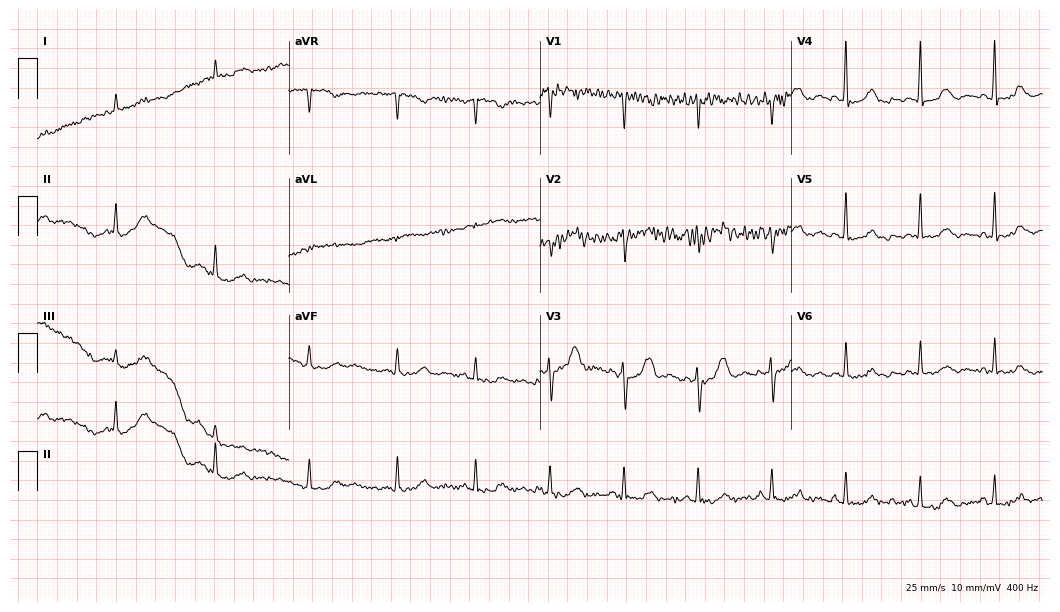
12-lead ECG (10.2-second recording at 400 Hz) from a 79-year-old female. Screened for six findings — first-degree AV block, right bundle branch block, left bundle branch block, sinus bradycardia, atrial fibrillation, sinus tachycardia — none is recorded. Only these six findings were labelled.